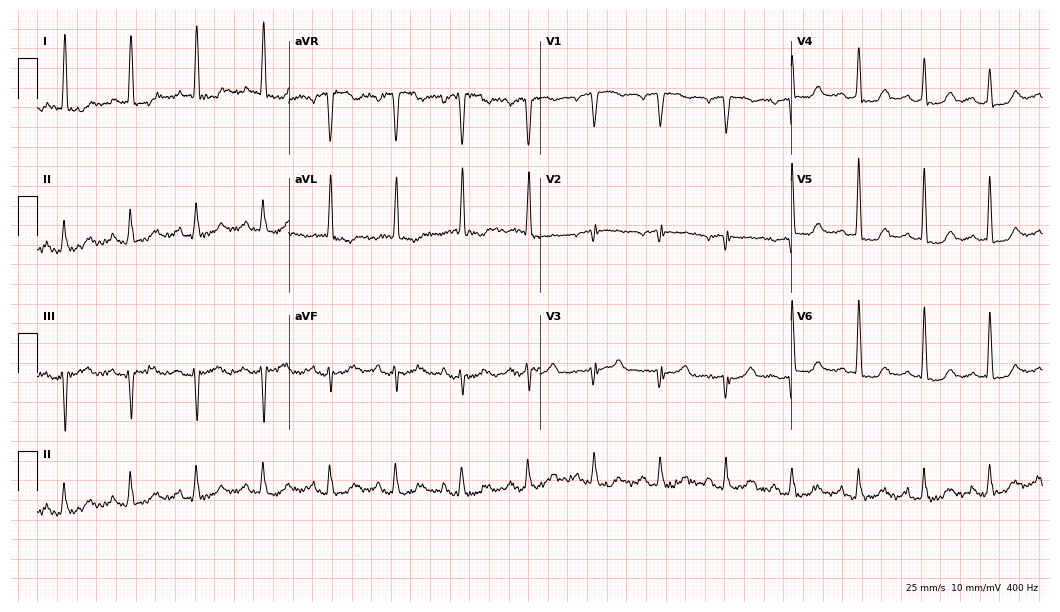
ECG — a 68-year-old woman. Screened for six findings — first-degree AV block, right bundle branch block, left bundle branch block, sinus bradycardia, atrial fibrillation, sinus tachycardia — none is recorded.